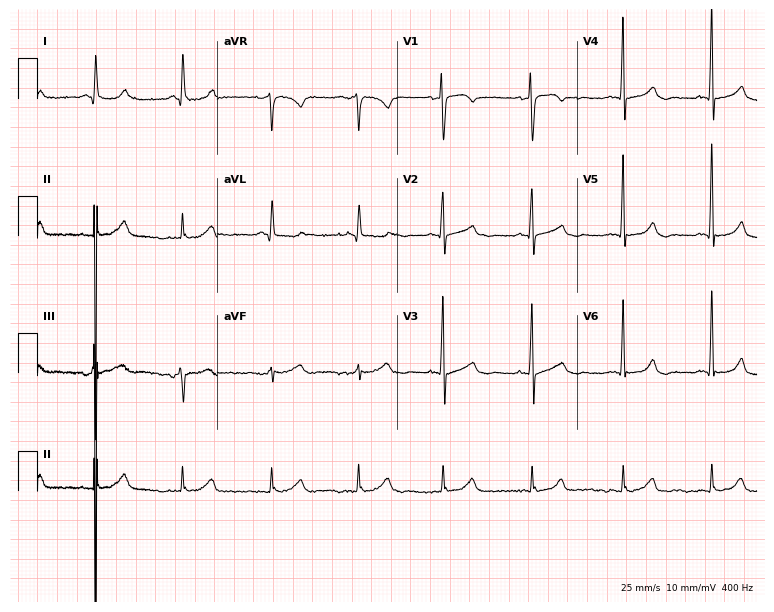
ECG — a 74-year-old female. Screened for six findings — first-degree AV block, right bundle branch block, left bundle branch block, sinus bradycardia, atrial fibrillation, sinus tachycardia — none is recorded. Only these six findings were labelled.